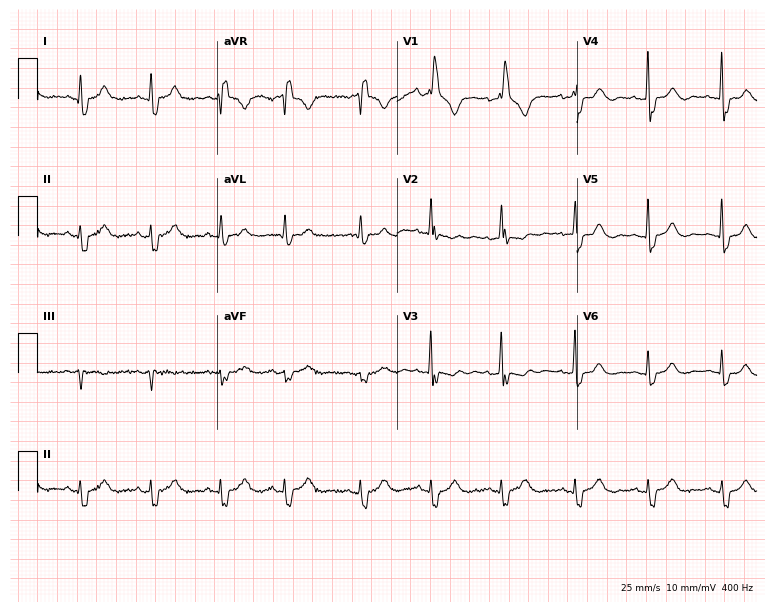
Resting 12-lead electrocardiogram. Patient: an 84-year-old woman. The tracing shows right bundle branch block.